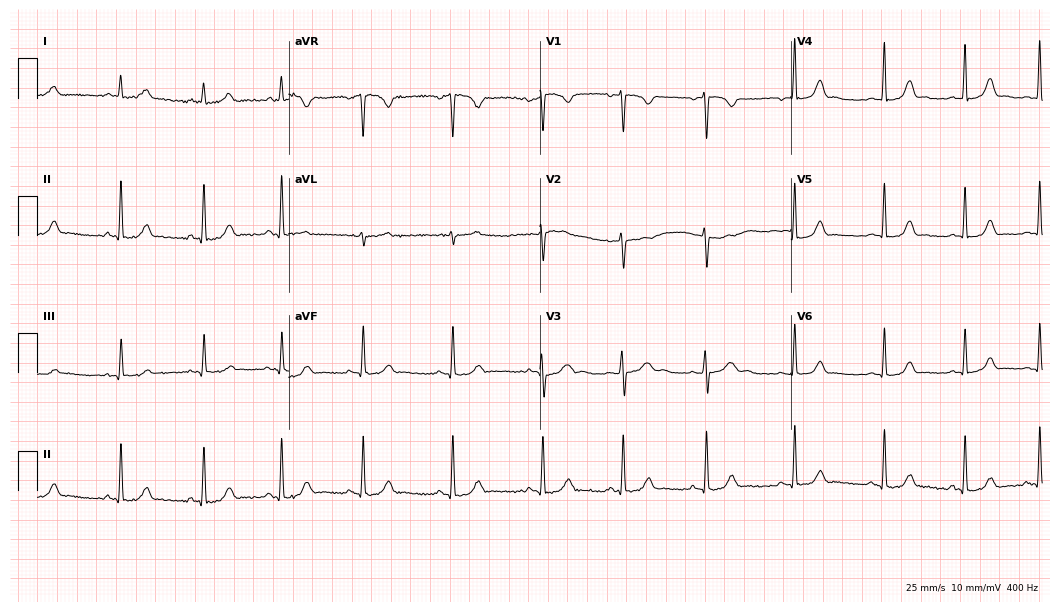
ECG — a woman, 20 years old. Labelled as a normal ECG.